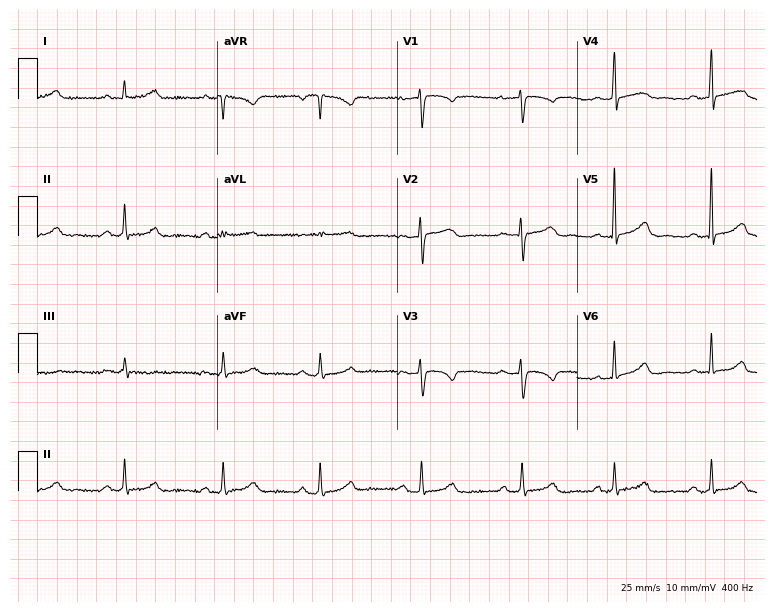
Standard 12-lead ECG recorded from a woman, 47 years old (7.3-second recording at 400 Hz). Read as a normal ECG.